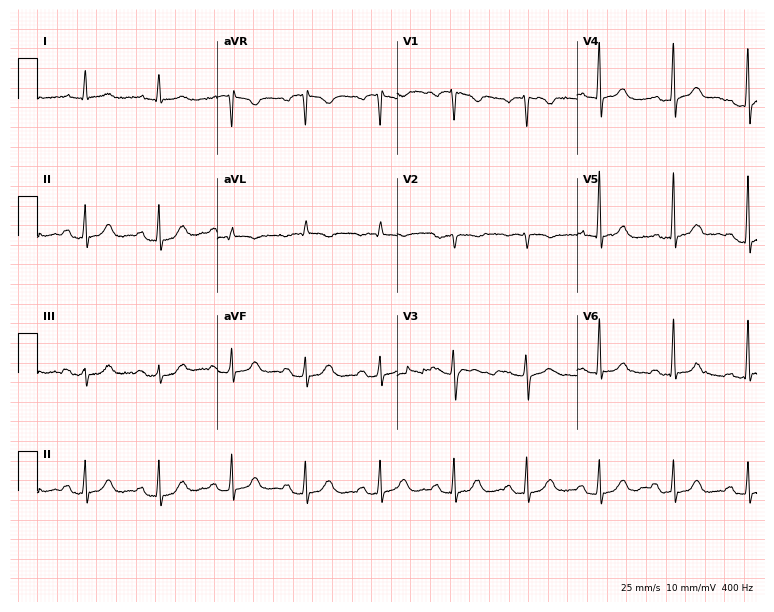
12-lead ECG from a 61-year-old female patient. Labelled as a normal ECG.